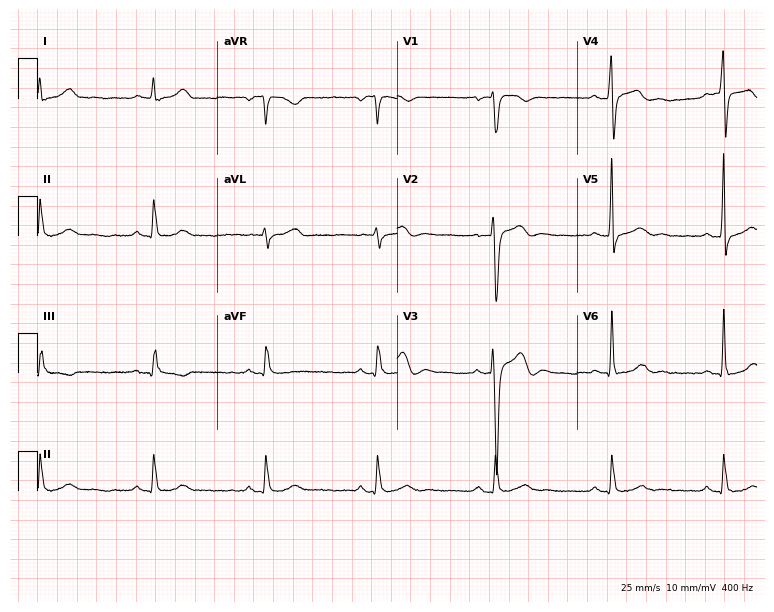
Standard 12-lead ECG recorded from a male patient, 41 years old (7.3-second recording at 400 Hz). None of these six findings is recorded: first-degree AV block, right bundle branch block (RBBB), left bundle branch block (LBBB), sinus bradycardia, atrial fibrillation (AF), sinus tachycardia.